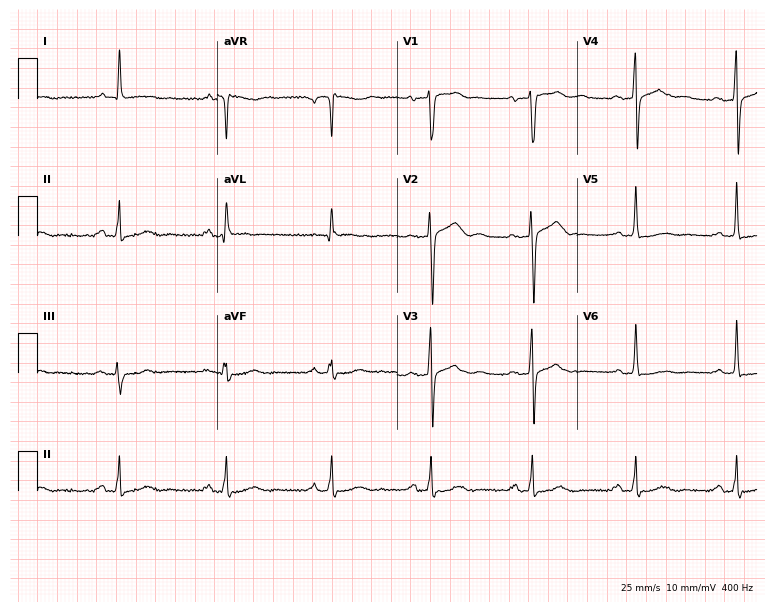
12-lead ECG from a 64-year-old man. Screened for six findings — first-degree AV block, right bundle branch block (RBBB), left bundle branch block (LBBB), sinus bradycardia, atrial fibrillation (AF), sinus tachycardia — none is recorded. Other findings, if any, are not listed.